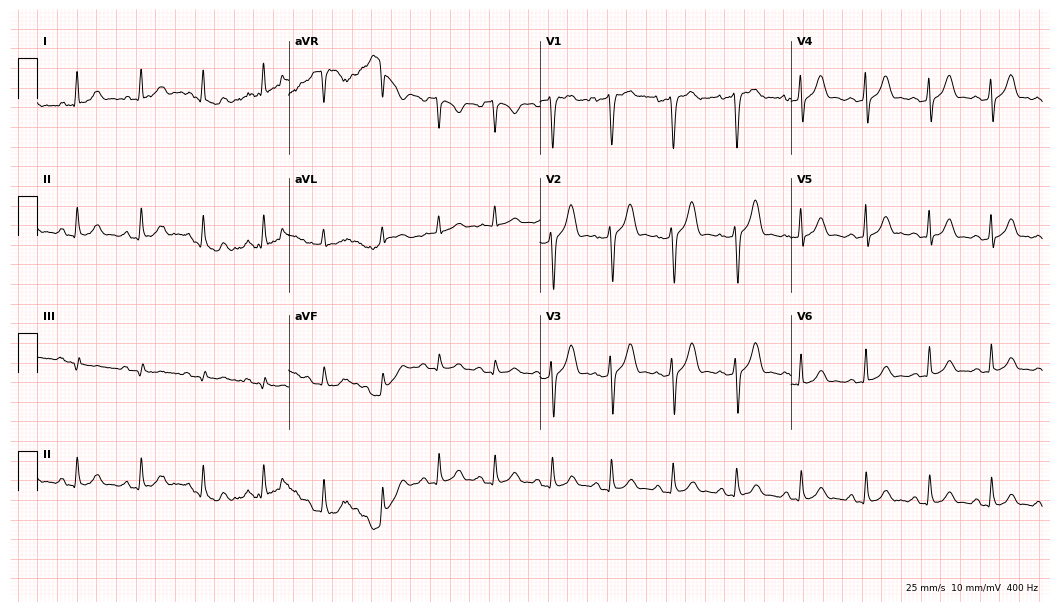
Electrocardiogram, a male, 39 years old. Overall reading on record: normal ECG.